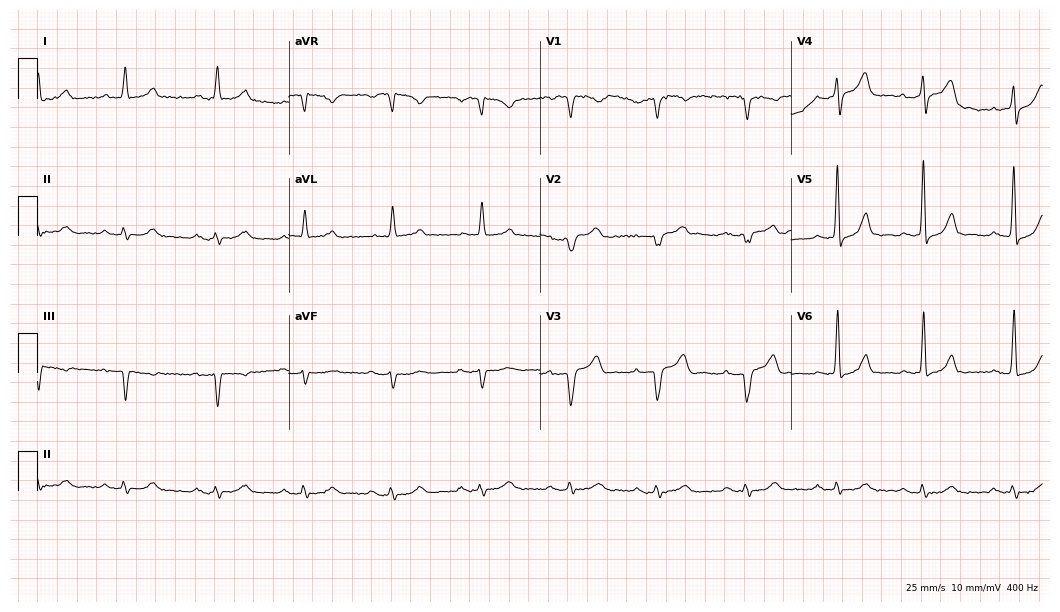
Electrocardiogram (10.2-second recording at 400 Hz), a 77-year-old male patient. Overall reading on record: normal ECG.